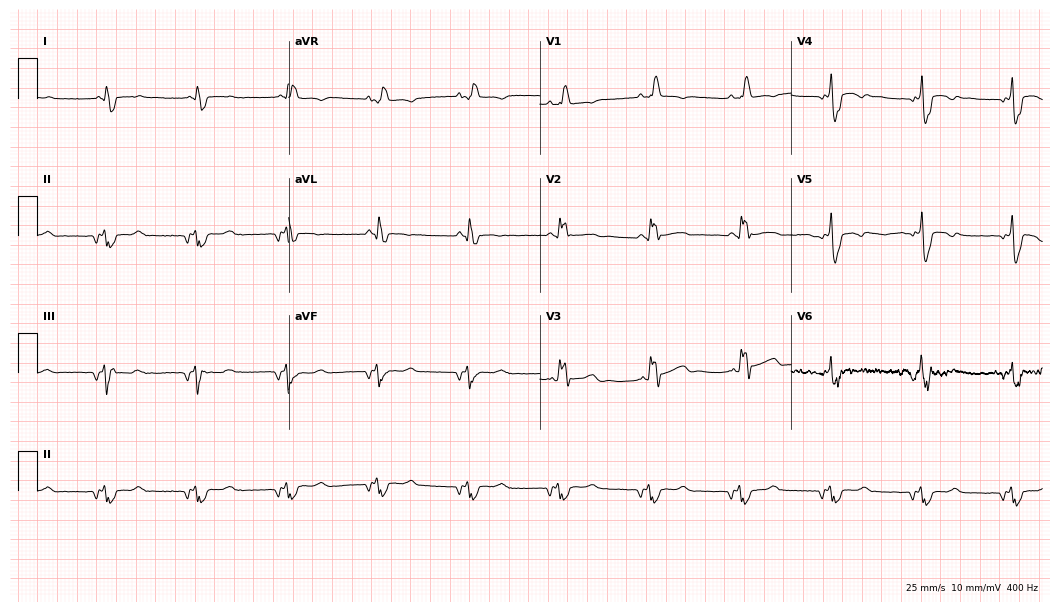
ECG — a female patient, 61 years old. Findings include right bundle branch block.